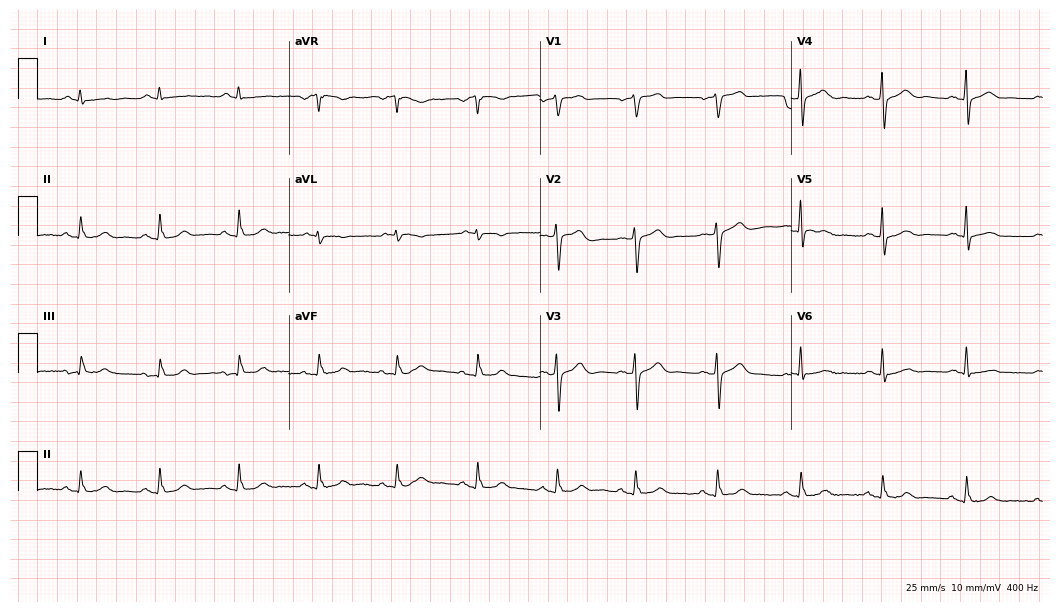
Standard 12-lead ECG recorded from a 69-year-old male. None of these six findings is recorded: first-degree AV block, right bundle branch block (RBBB), left bundle branch block (LBBB), sinus bradycardia, atrial fibrillation (AF), sinus tachycardia. Findings outside these six are not listed.